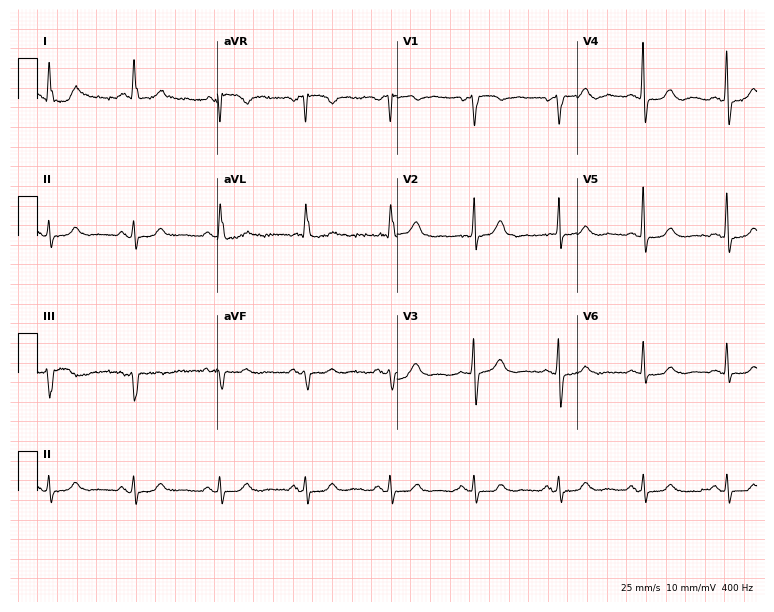
Electrocardiogram (7.3-second recording at 400 Hz), a male, 83 years old. Overall reading on record: normal ECG.